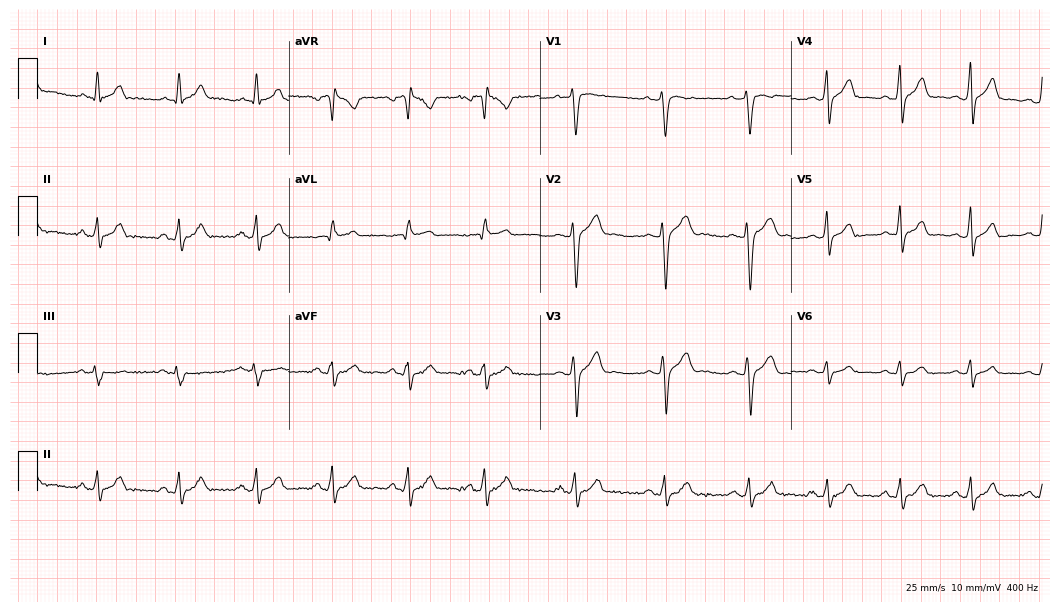
Electrocardiogram (10.2-second recording at 400 Hz), a man, 30 years old. Overall reading on record: normal ECG.